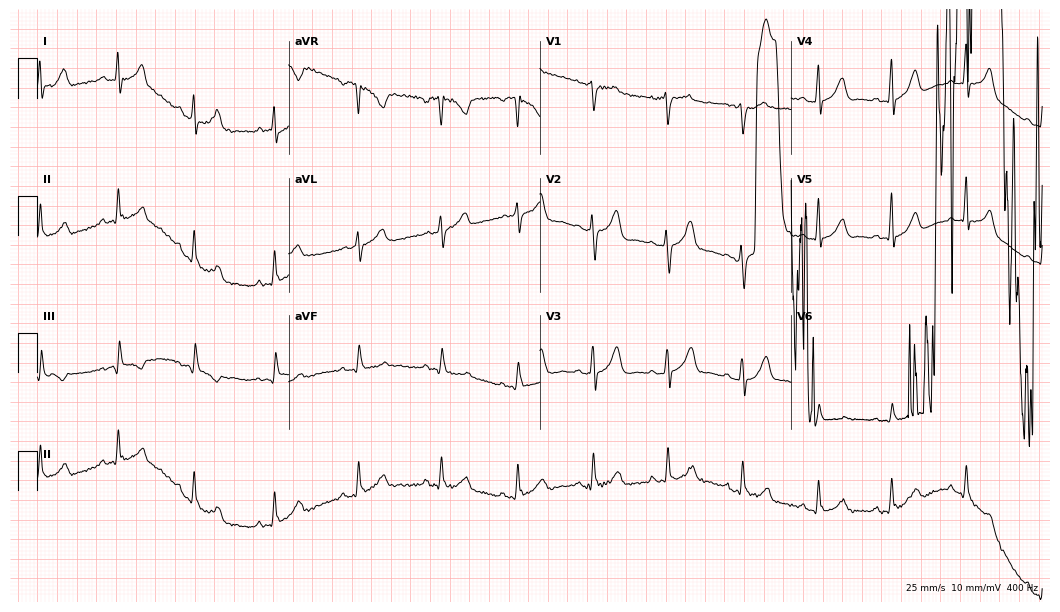
12-lead ECG (10.2-second recording at 400 Hz) from a female patient, 26 years old. Screened for six findings — first-degree AV block, right bundle branch block, left bundle branch block, sinus bradycardia, atrial fibrillation, sinus tachycardia — none is recorded. Only these six findings were labelled.